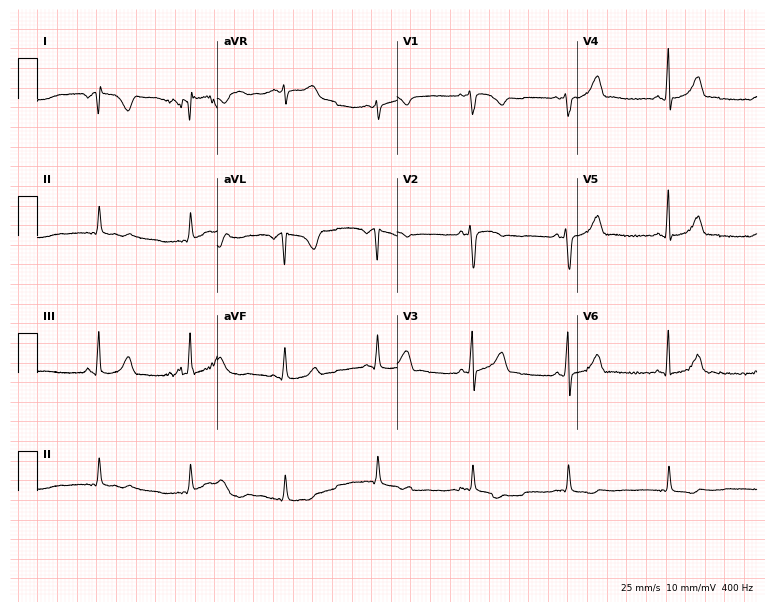
Electrocardiogram (7.3-second recording at 400 Hz), a woman, 19 years old. Of the six screened findings (first-degree AV block, right bundle branch block, left bundle branch block, sinus bradycardia, atrial fibrillation, sinus tachycardia), none is recorded. Other findings, if any, are not listed.